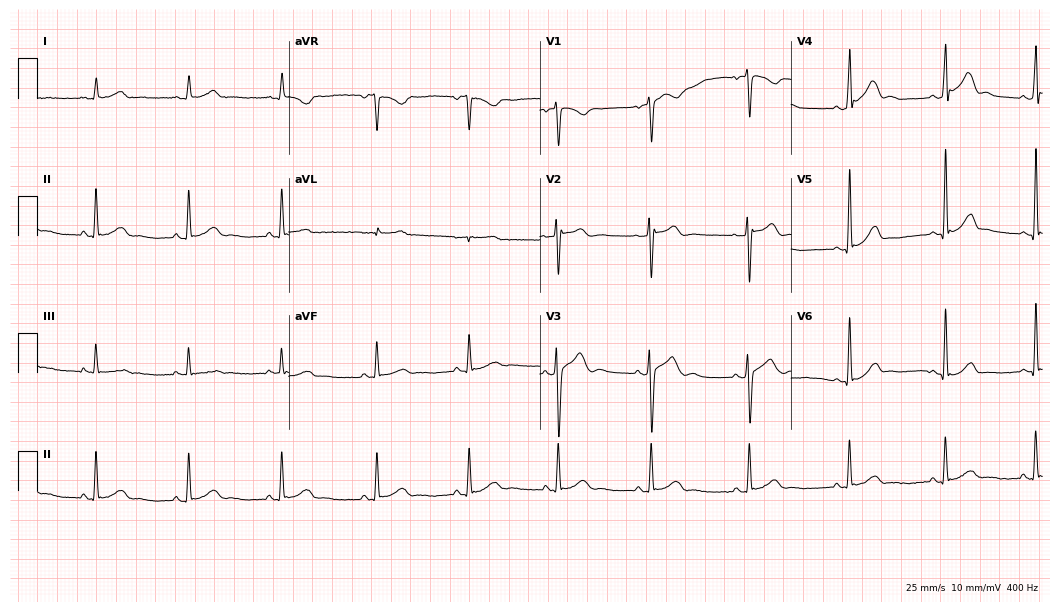
Resting 12-lead electrocardiogram. Patient: a 29-year-old man. Read as a normal ECG.